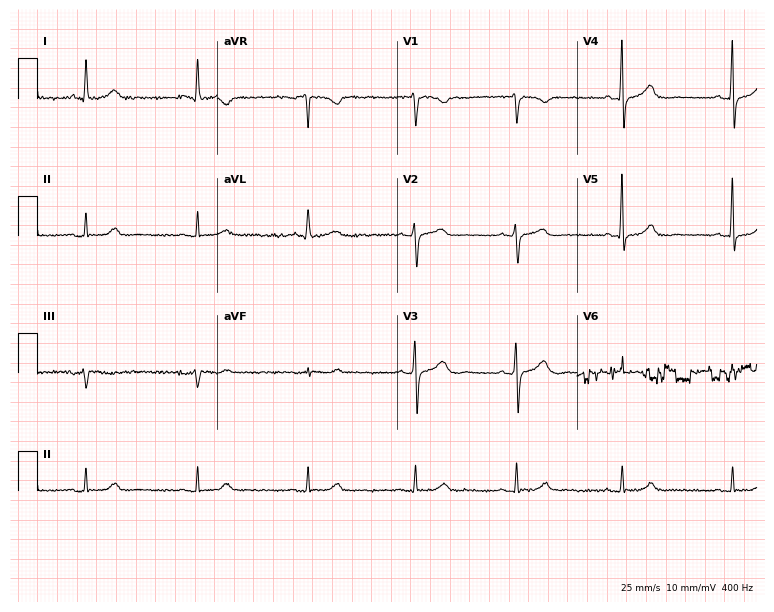
Resting 12-lead electrocardiogram. Patient: a female, 53 years old. Read as a normal ECG.